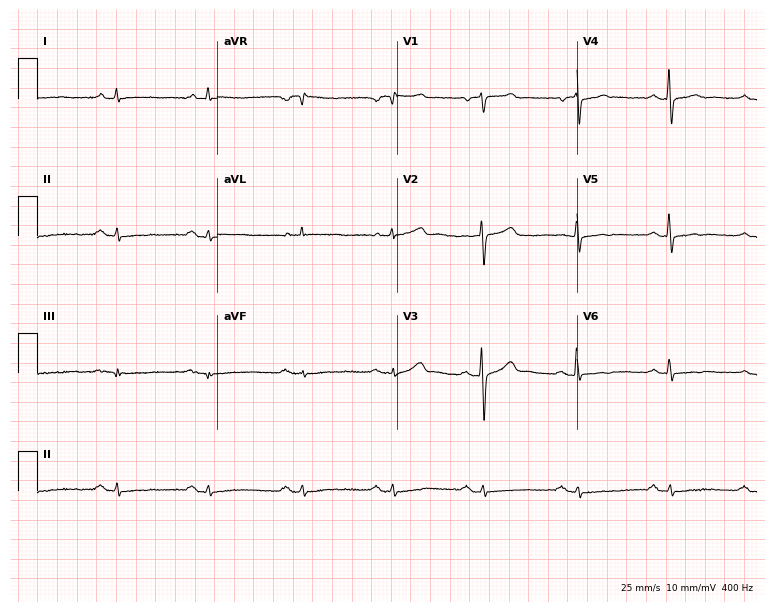
Electrocardiogram, a male, 67 years old. Of the six screened findings (first-degree AV block, right bundle branch block, left bundle branch block, sinus bradycardia, atrial fibrillation, sinus tachycardia), none is recorded. Other findings, if any, are not listed.